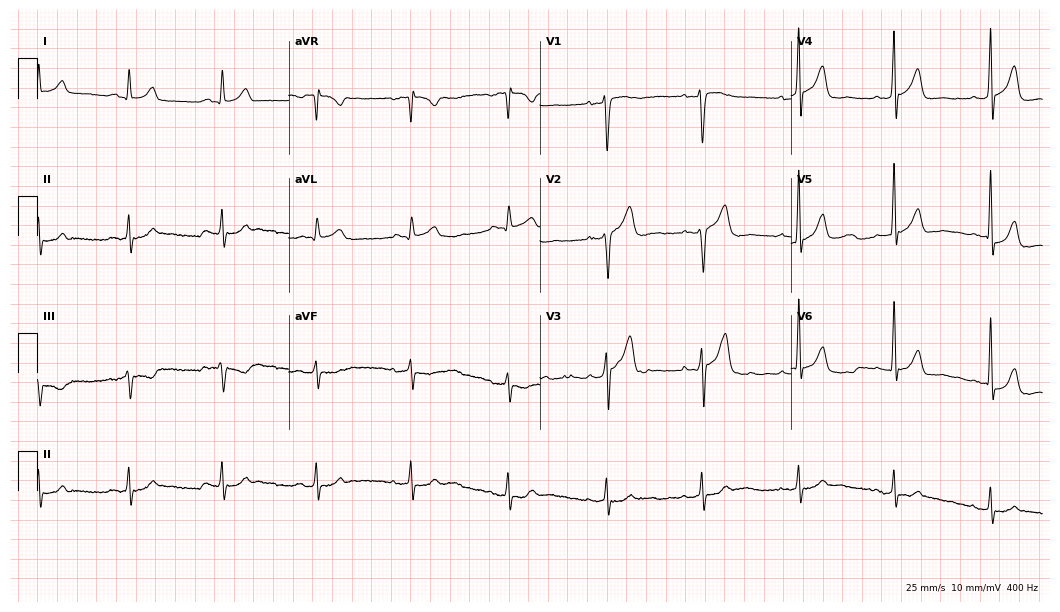
ECG — a 47-year-old male patient. Screened for six findings — first-degree AV block, right bundle branch block, left bundle branch block, sinus bradycardia, atrial fibrillation, sinus tachycardia — none is recorded.